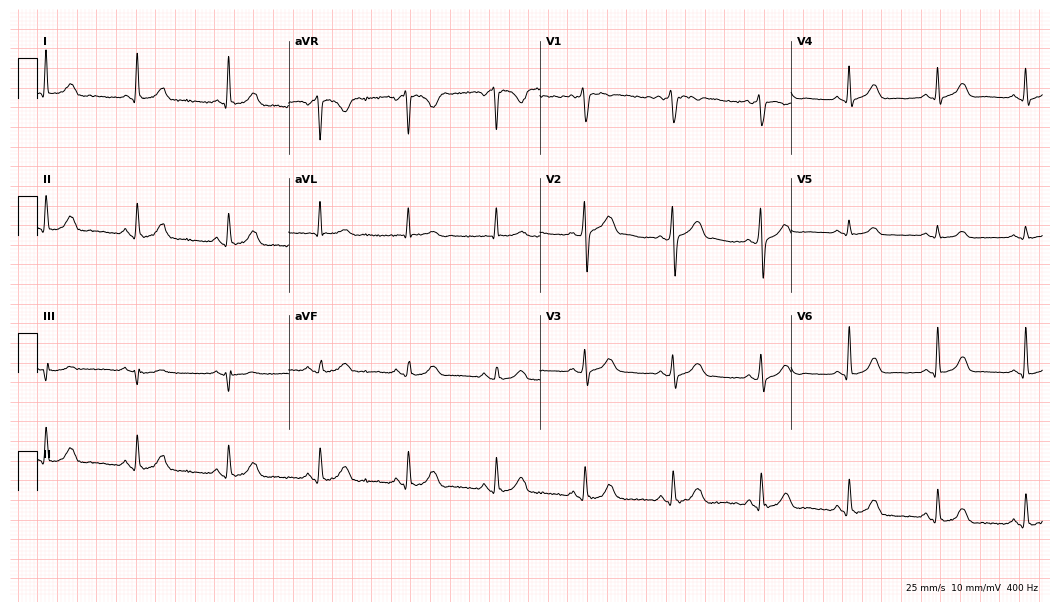
Electrocardiogram, a woman, 54 years old. Overall reading on record: normal ECG.